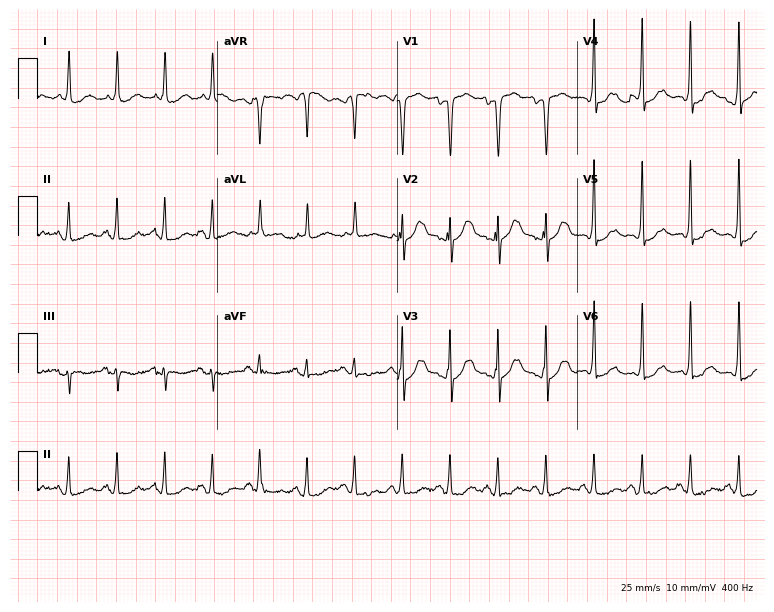
12-lead ECG from a 57-year-old female patient. Findings include sinus tachycardia (a sinus rate of 100 beats per minute or more).